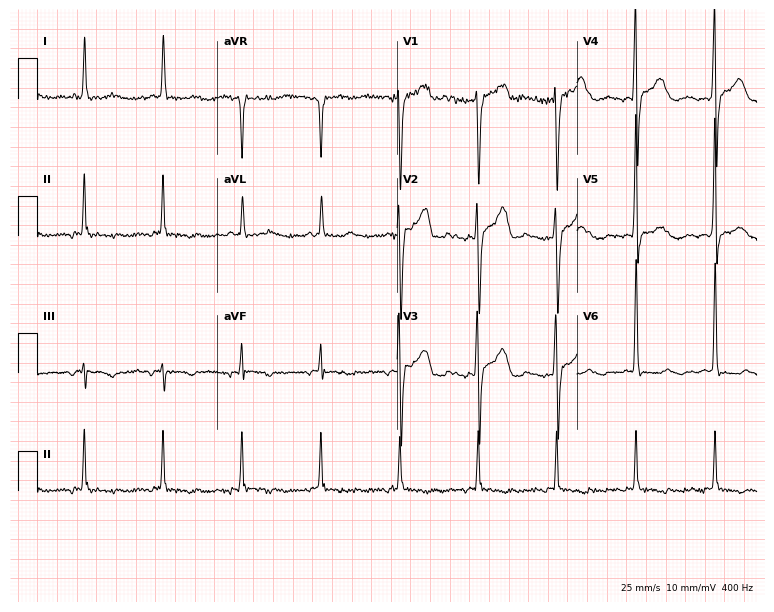
Standard 12-lead ECG recorded from a woman, 55 years old (7.3-second recording at 400 Hz). None of these six findings is recorded: first-degree AV block, right bundle branch block, left bundle branch block, sinus bradycardia, atrial fibrillation, sinus tachycardia. Only these six findings were labelled.